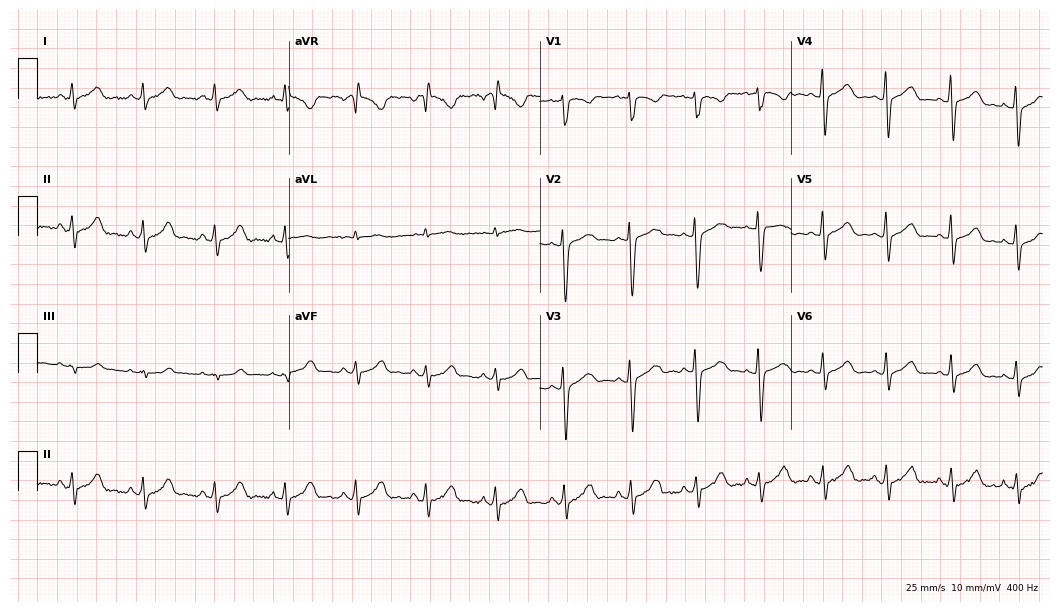
12-lead ECG (10.2-second recording at 400 Hz) from a 30-year-old female. Labelled as a normal ECG.